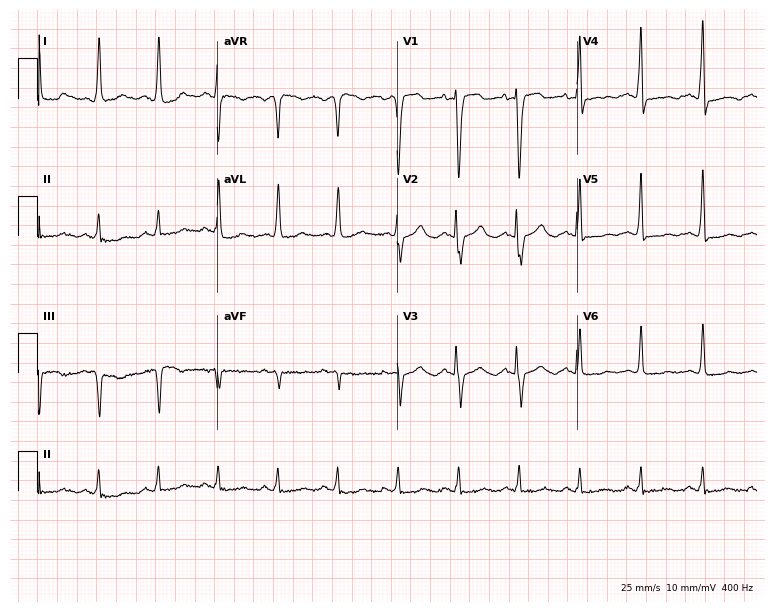
Electrocardiogram (7.3-second recording at 400 Hz), a woman, 70 years old. Overall reading on record: normal ECG.